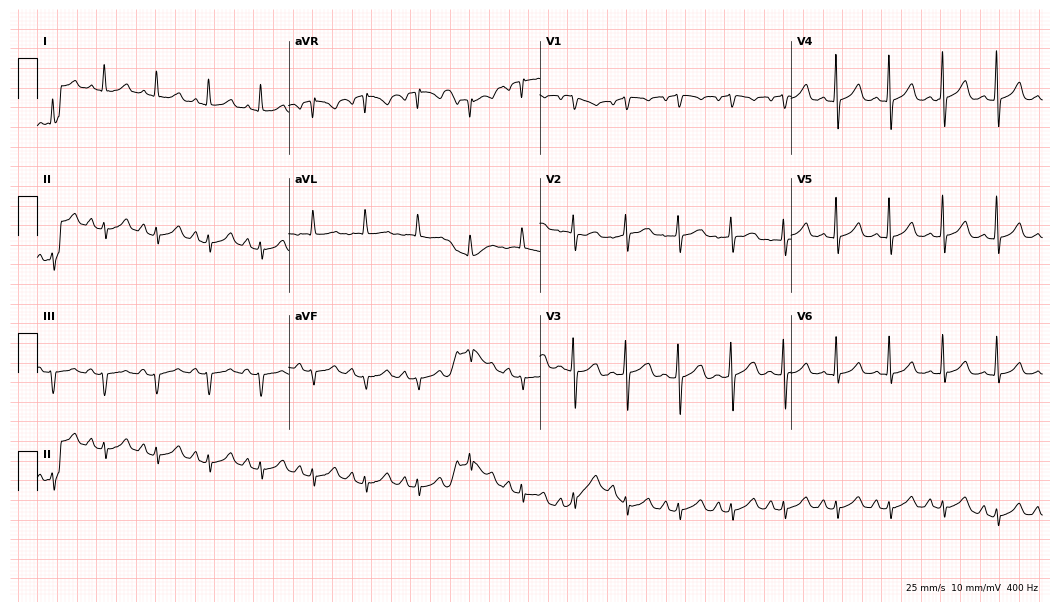
ECG (10.2-second recording at 400 Hz) — a 60-year-old female patient. Findings include sinus tachycardia (a sinus rate of 100 beats per minute or more).